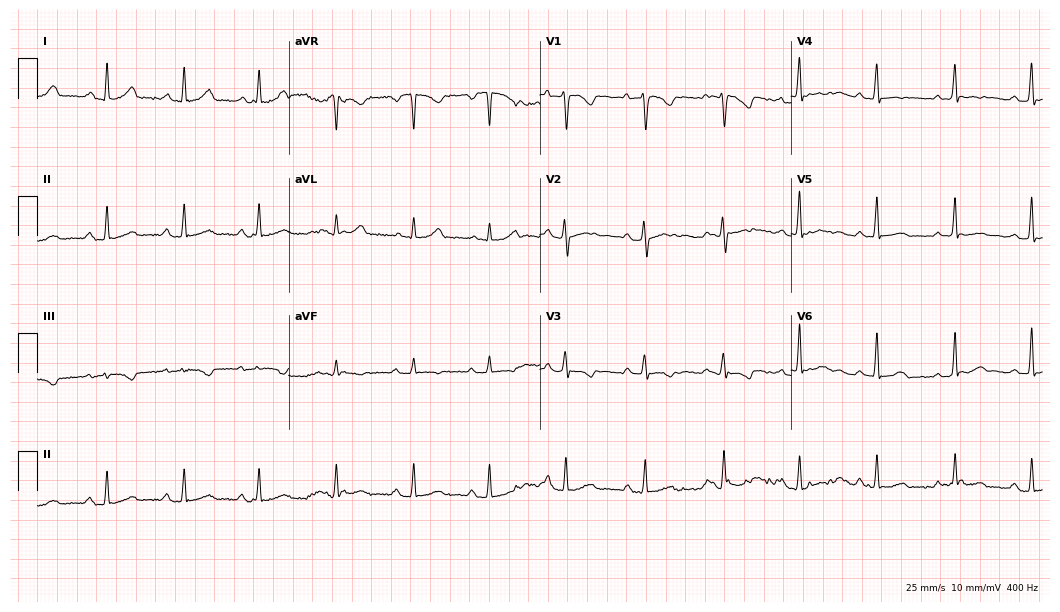
ECG — a female patient, 33 years old. Screened for six findings — first-degree AV block, right bundle branch block (RBBB), left bundle branch block (LBBB), sinus bradycardia, atrial fibrillation (AF), sinus tachycardia — none is recorded.